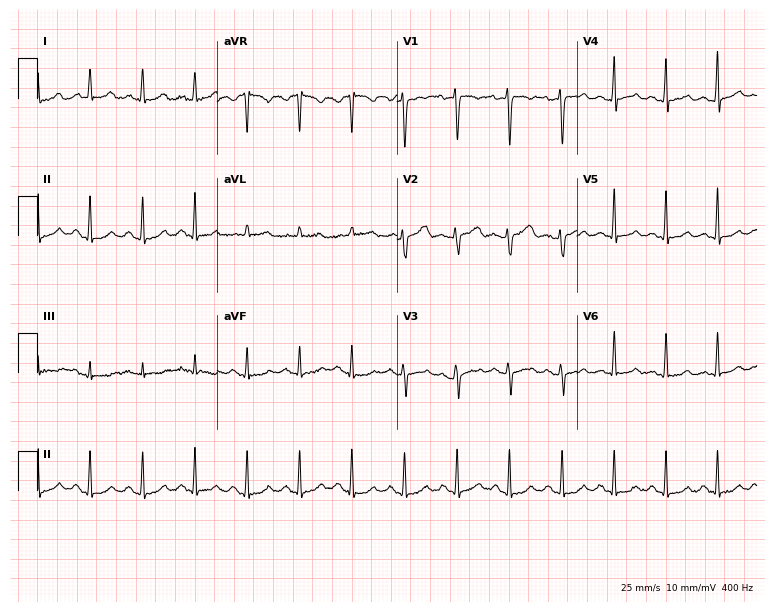
Electrocardiogram, a female patient, 31 years old. Of the six screened findings (first-degree AV block, right bundle branch block, left bundle branch block, sinus bradycardia, atrial fibrillation, sinus tachycardia), none is recorded.